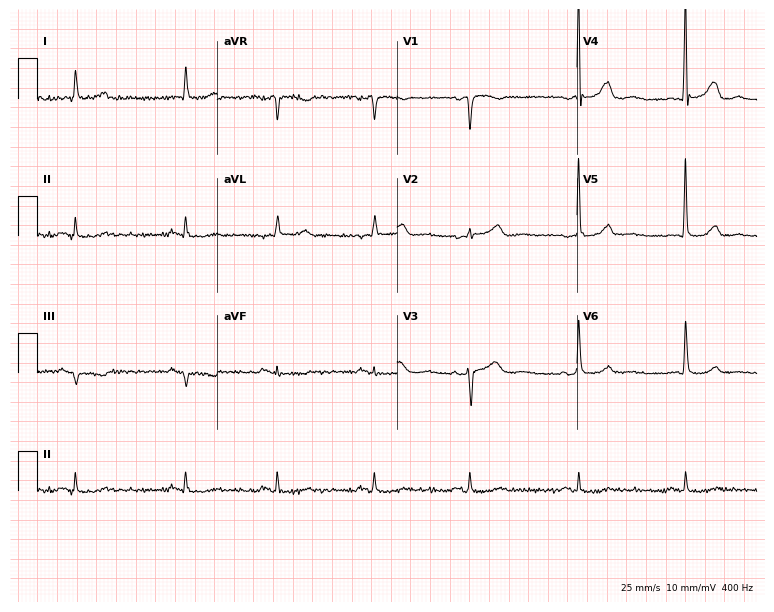
ECG — a 78-year-old female patient. Screened for six findings — first-degree AV block, right bundle branch block (RBBB), left bundle branch block (LBBB), sinus bradycardia, atrial fibrillation (AF), sinus tachycardia — none is recorded.